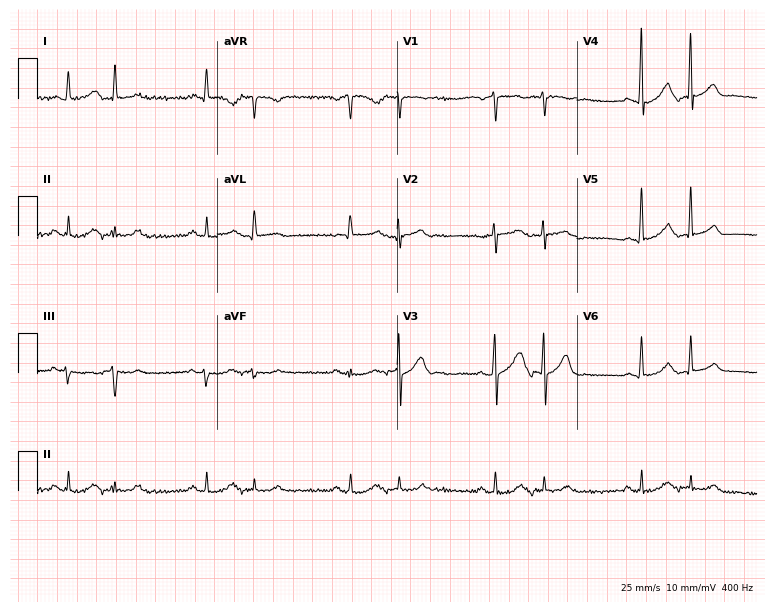
ECG — a male, 70 years old. Screened for six findings — first-degree AV block, right bundle branch block, left bundle branch block, sinus bradycardia, atrial fibrillation, sinus tachycardia — none is recorded.